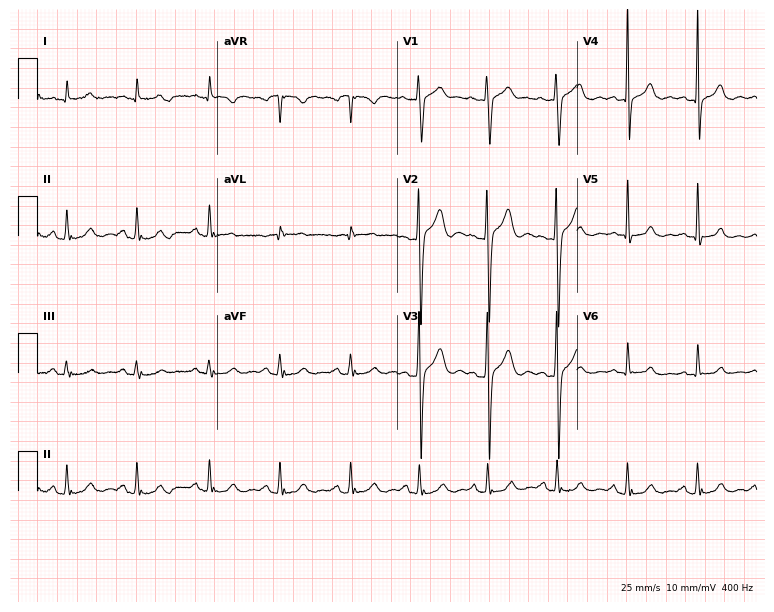
12-lead ECG from a 44-year-old male. Recorded interpretation: within normal limits.